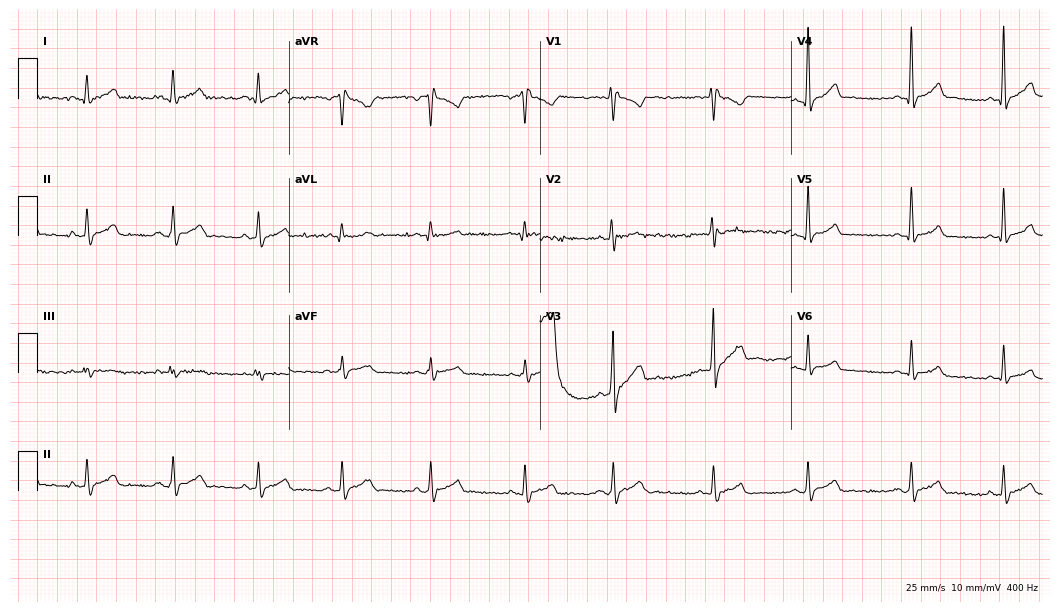
Resting 12-lead electrocardiogram. Patient: a male, 17 years old. Read as a normal ECG.